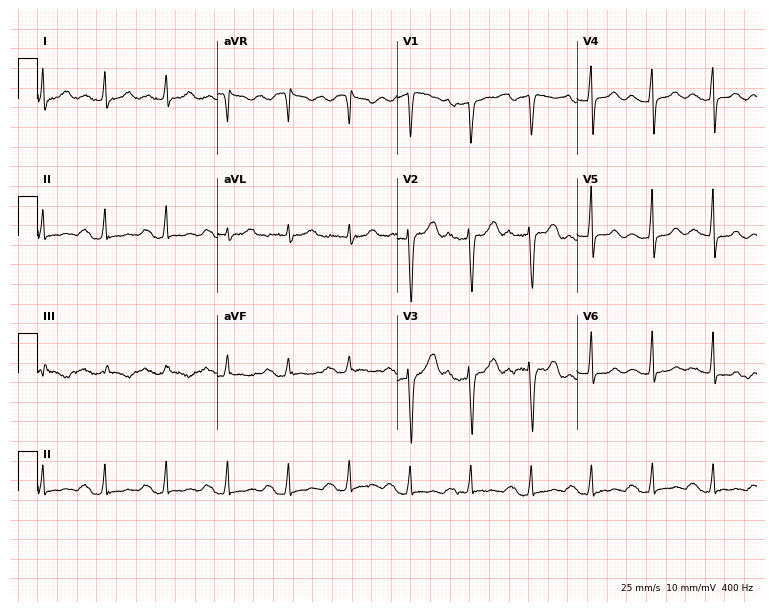
12-lead ECG from a 31-year-old female patient (7.3-second recording at 400 Hz). Shows first-degree AV block.